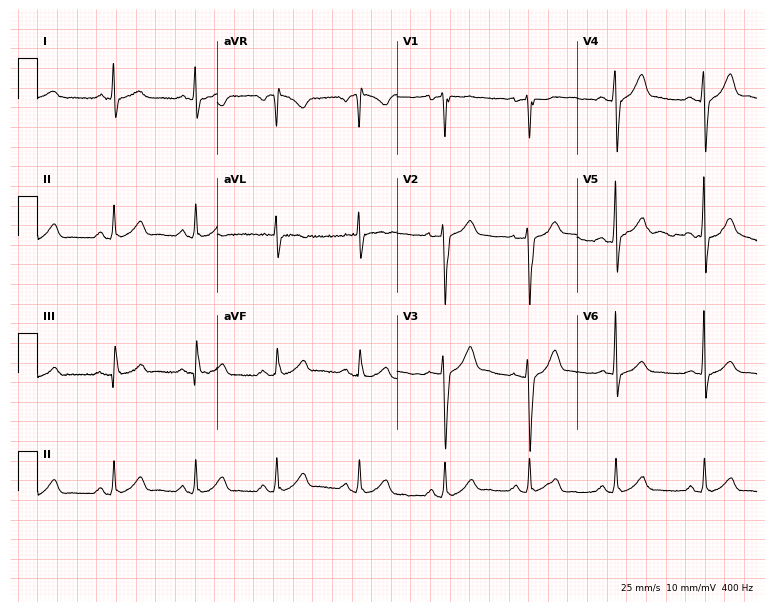
Resting 12-lead electrocardiogram. Patient: a male, 37 years old. None of these six findings is recorded: first-degree AV block, right bundle branch block, left bundle branch block, sinus bradycardia, atrial fibrillation, sinus tachycardia. Other findings, if any, are not listed.